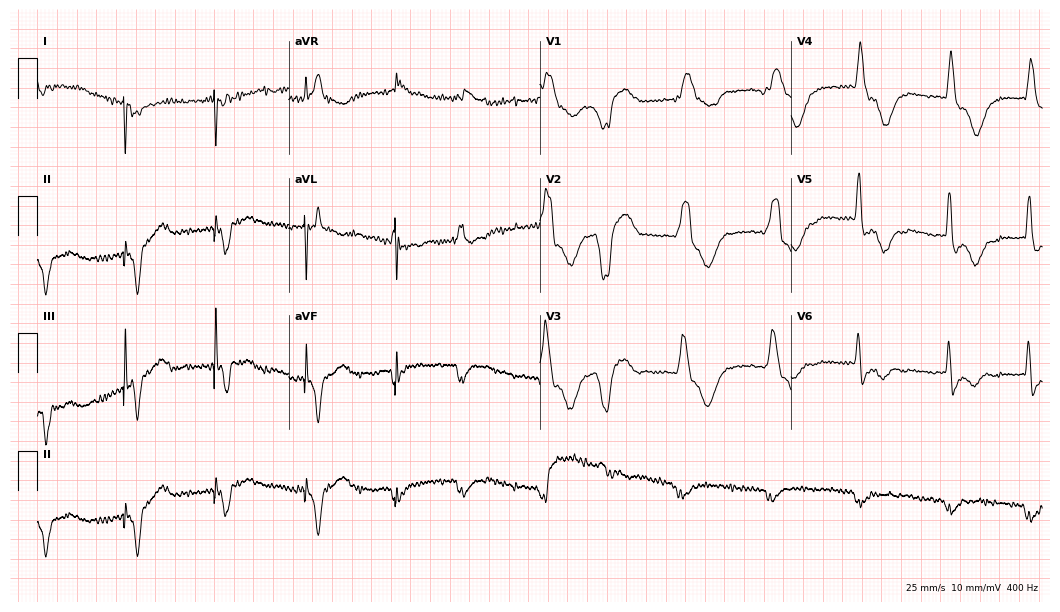
ECG (10.2-second recording at 400 Hz) — a male, 64 years old. Screened for six findings — first-degree AV block, right bundle branch block (RBBB), left bundle branch block (LBBB), sinus bradycardia, atrial fibrillation (AF), sinus tachycardia — none is recorded. Only these six findings were labelled.